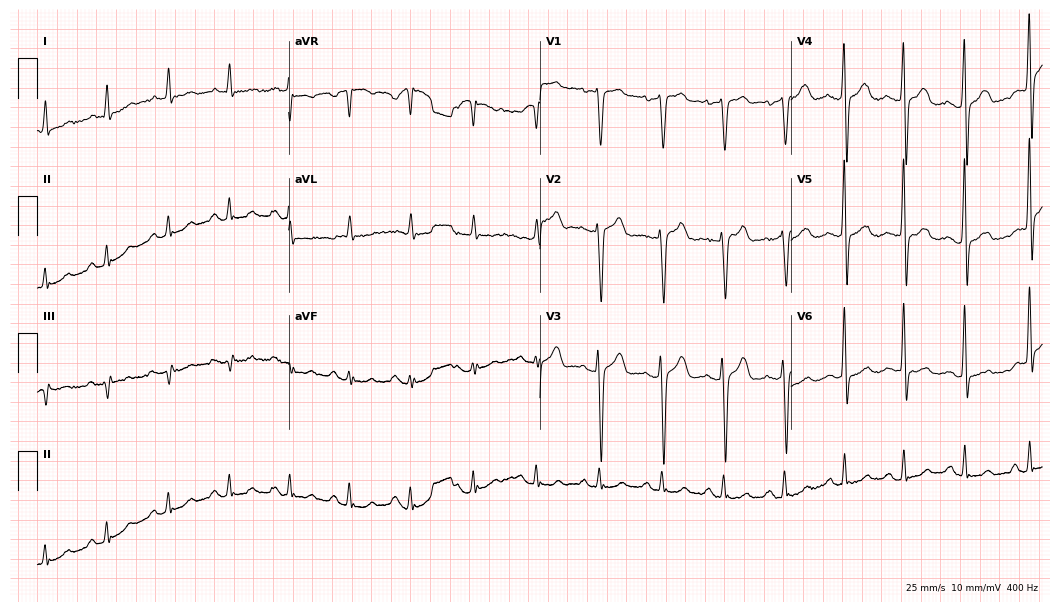
Standard 12-lead ECG recorded from a 68-year-old male patient. None of these six findings is recorded: first-degree AV block, right bundle branch block (RBBB), left bundle branch block (LBBB), sinus bradycardia, atrial fibrillation (AF), sinus tachycardia. Other findings, if any, are not listed.